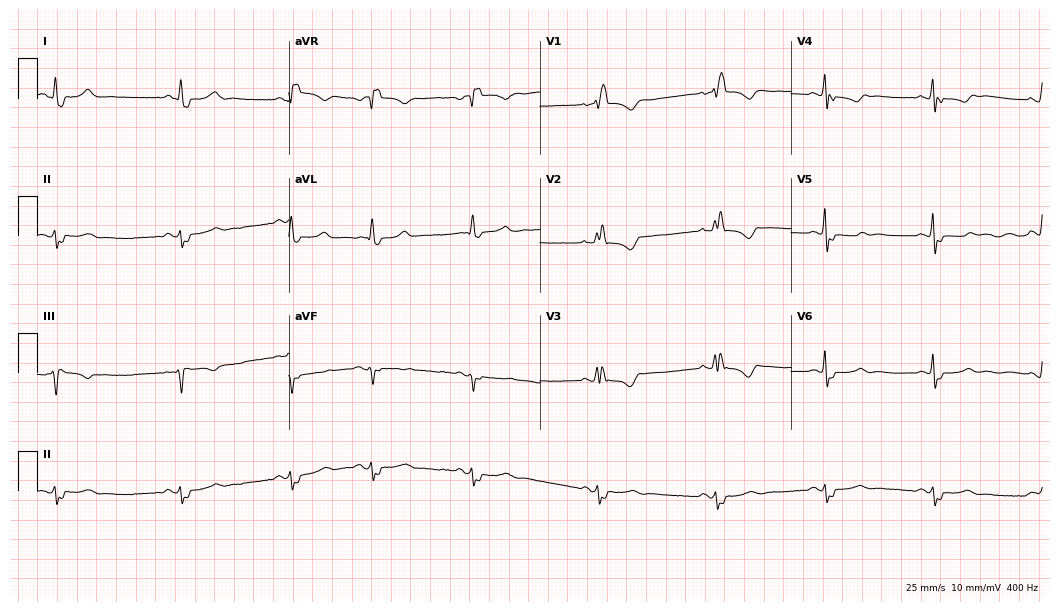
12-lead ECG (10.2-second recording at 400 Hz) from a female patient, 77 years old. Findings include right bundle branch block.